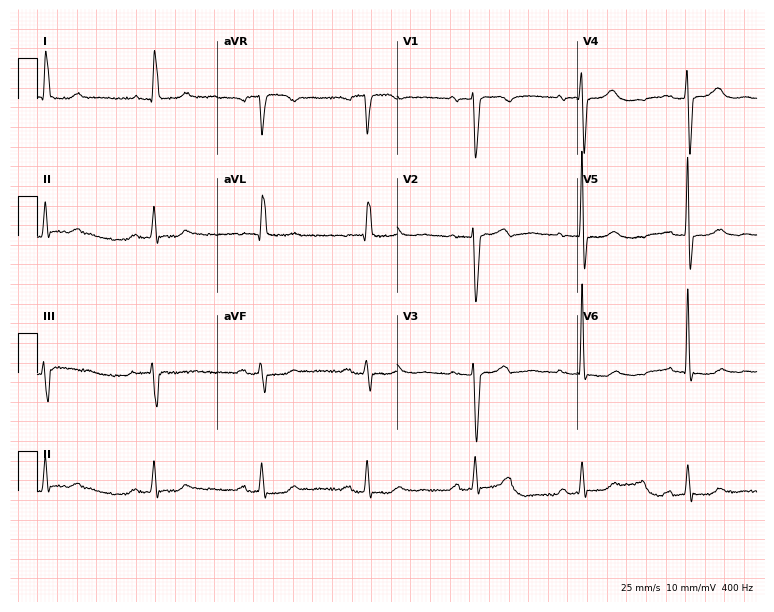
12-lead ECG from a 69-year-old female patient (7.3-second recording at 400 Hz). Recorded interpretation: within normal limits.